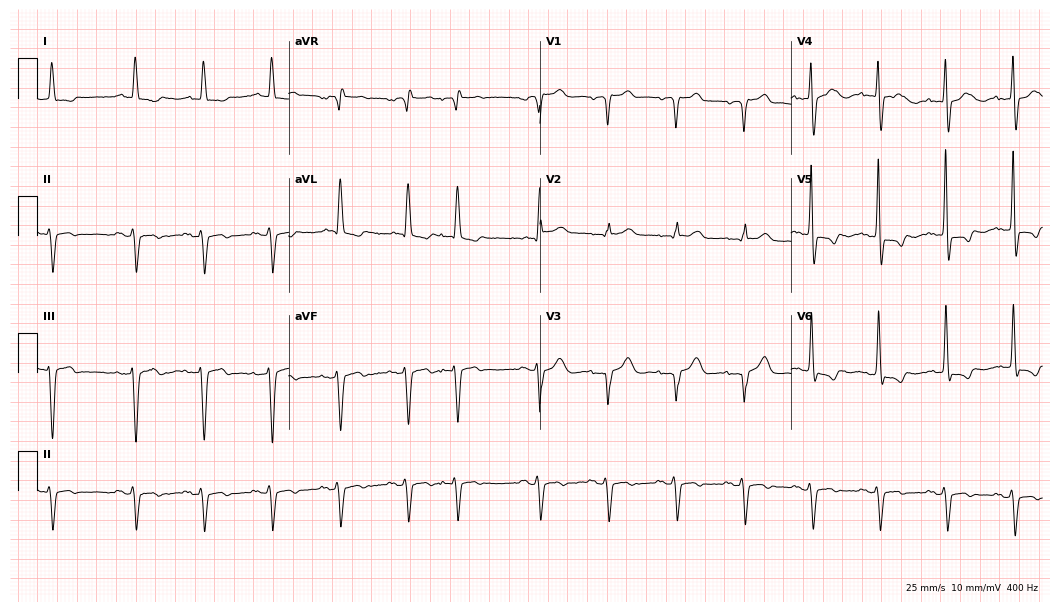
Resting 12-lead electrocardiogram. Patient: an 84-year-old male. None of these six findings is recorded: first-degree AV block, right bundle branch block, left bundle branch block, sinus bradycardia, atrial fibrillation, sinus tachycardia. Other findings, if any, are not listed.